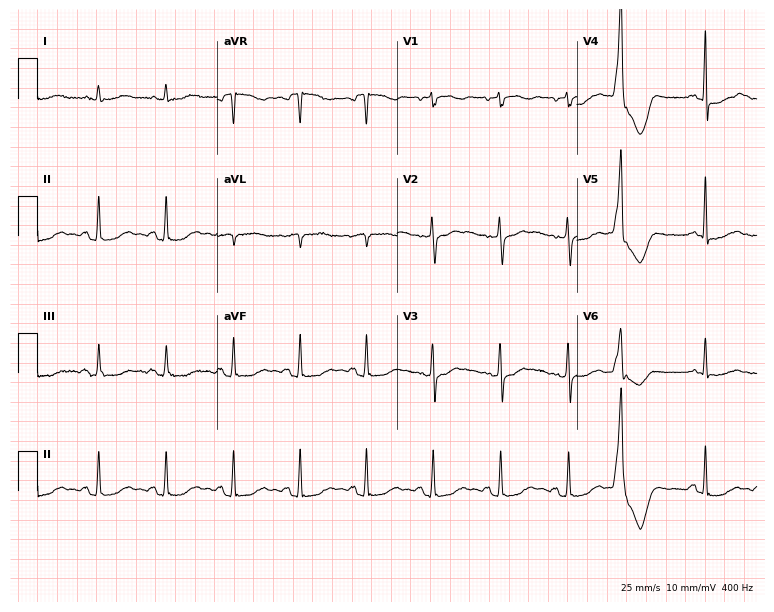
ECG — a woman, 70 years old. Screened for six findings — first-degree AV block, right bundle branch block, left bundle branch block, sinus bradycardia, atrial fibrillation, sinus tachycardia — none is recorded.